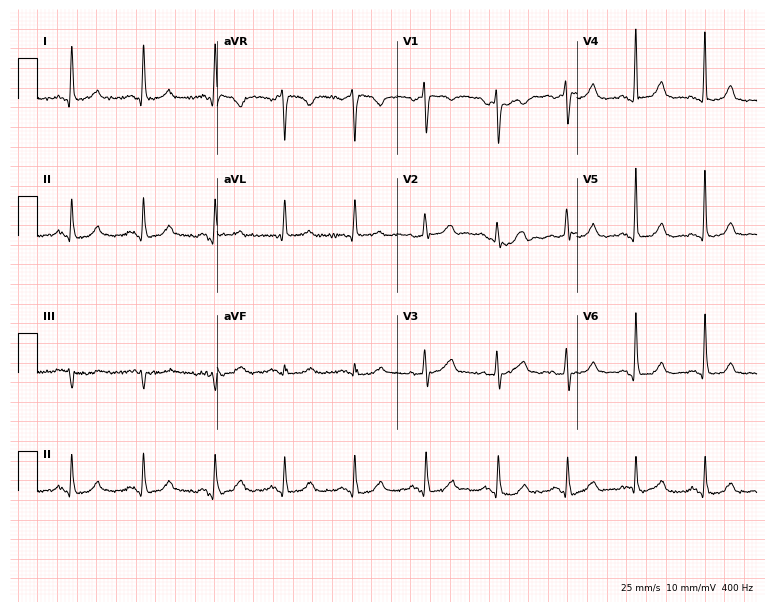
12-lead ECG from a female patient, 67 years old. Labelled as a normal ECG.